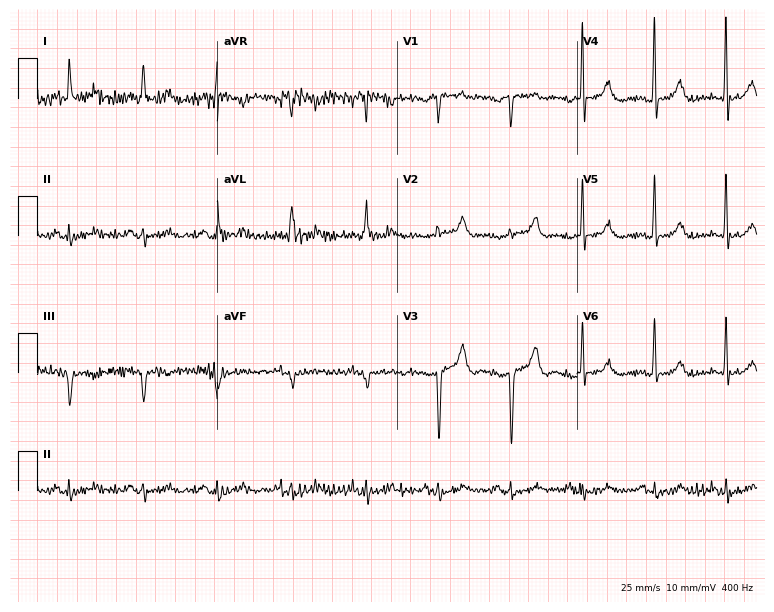
12-lead ECG from a male, 85 years old (7.3-second recording at 400 Hz). No first-degree AV block, right bundle branch block, left bundle branch block, sinus bradycardia, atrial fibrillation or sinus tachycardia recorded for this tracing. Findings outside these six are not listed.